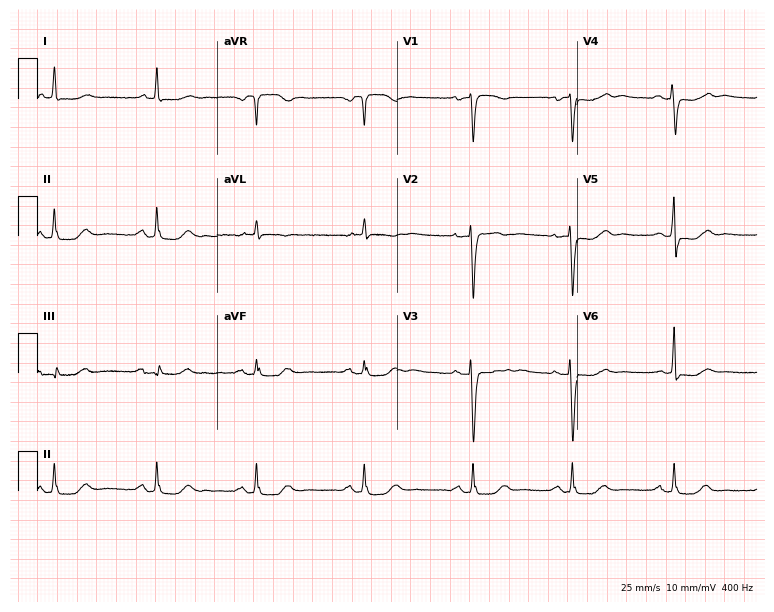
Resting 12-lead electrocardiogram. Patient: a 74-year-old female. None of these six findings is recorded: first-degree AV block, right bundle branch block, left bundle branch block, sinus bradycardia, atrial fibrillation, sinus tachycardia.